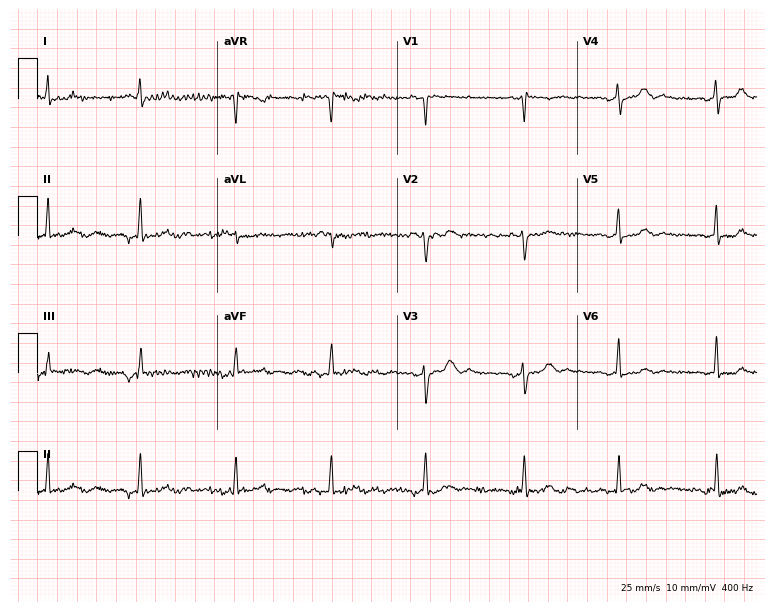
Electrocardiogram, a 64-year-old female. Of the six screened findings (first-degree AV block, right bundle branch block (RBBB), left bundle branch block (LBBB), sinus bradycardia, atrial fibrillation (AF), sinus tachycardia), none is recorded.